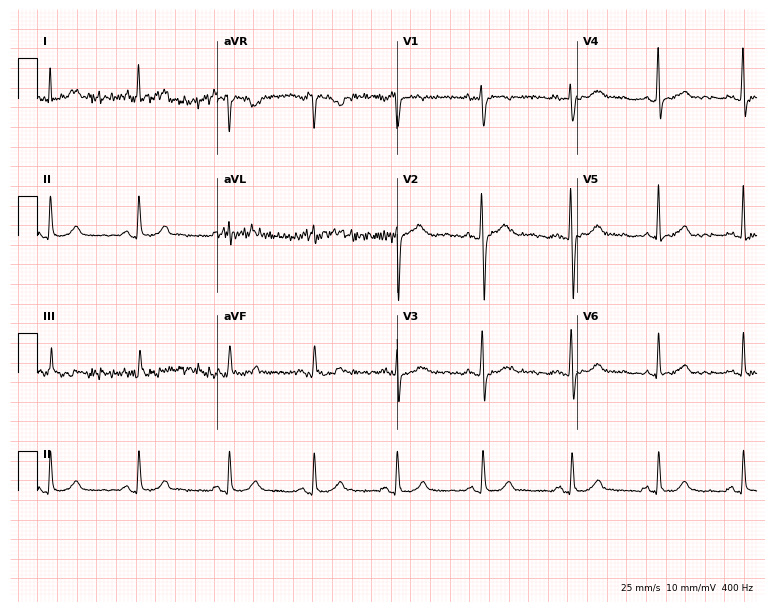
ECG — a 27-year-old woman. Labelled as a normal ECG.